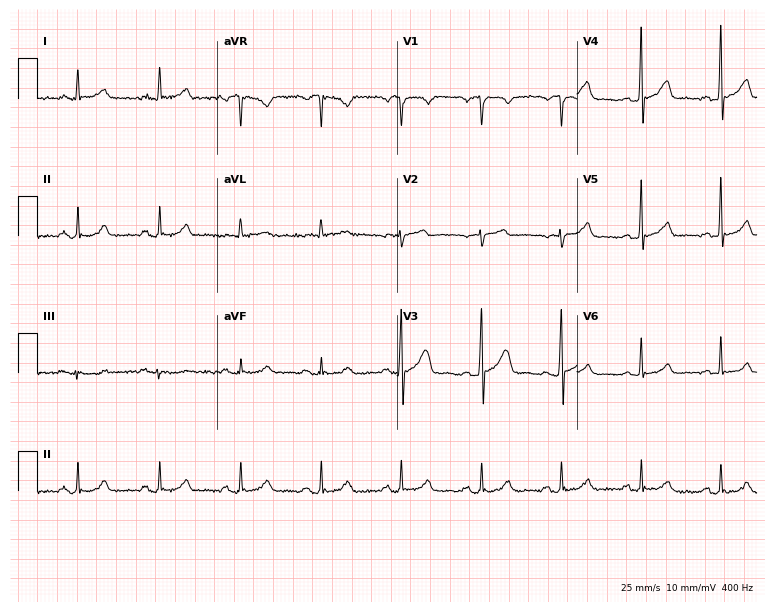
Electrocardiogram, a 54-year-old male. Of the six screened findings (first-degree AV block, right bundle branch block, left bundle branch block, sinus bradycardia, atrial fibrillation, sinus tachycardia), none is recorded.